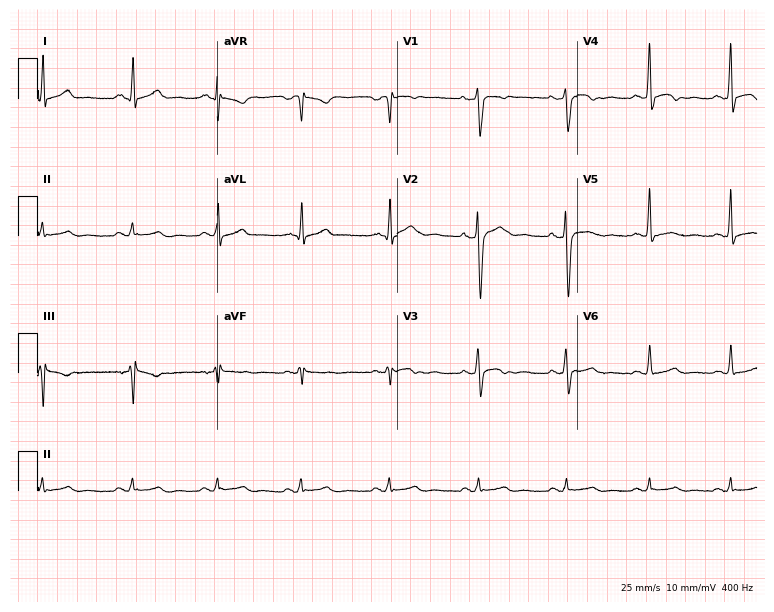
Resting 12-lead electrocardiogram (7.3-second recording at 400 Hz). Patient: a man, 39 years old. None of these six findings is recorded: first-degree AV block, right bundle branch block, left bundle branch block, sinus bradycardia, atrial fibrillation, sinus tachycardia. Findings outside these six are not listed.